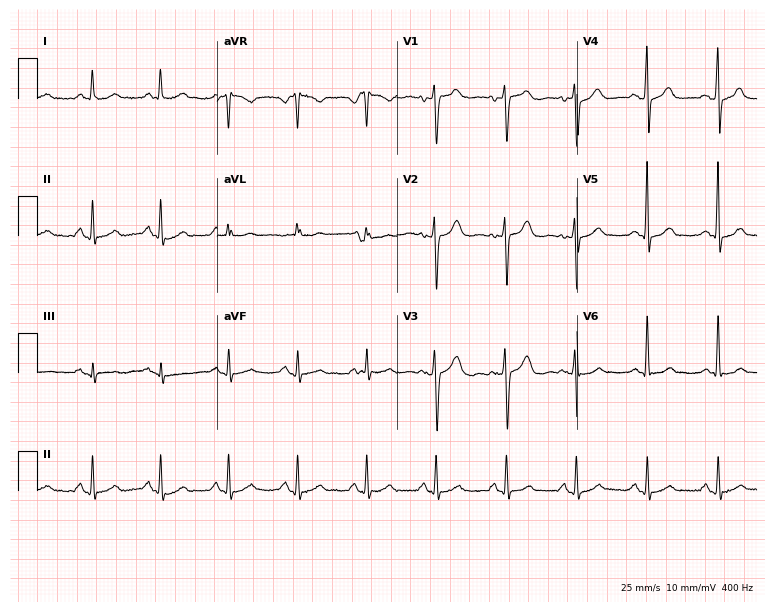
Electrocardiogram, a man, 58 years old. Overall reading on record: normal ECG.